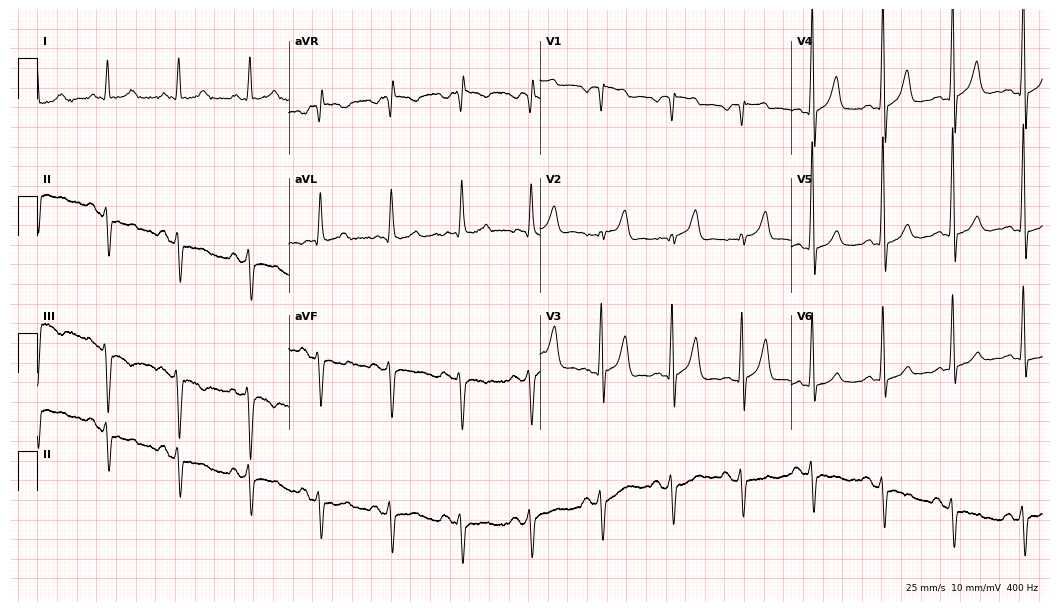
Resting 12-lead electrocardiogram (10.2-second recording at 400 Hz). Patient: a man, 68 years old. Read as a normal ECG.